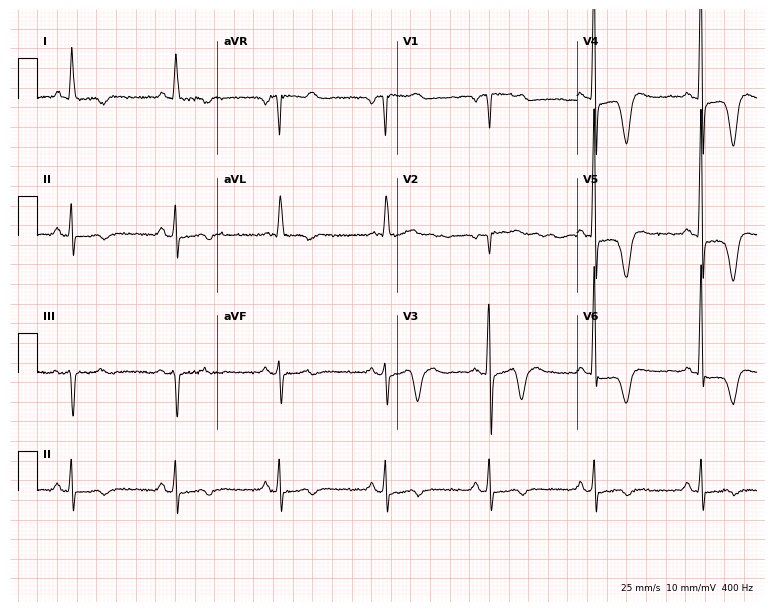
ECG (7.3-second recording at 400 Hz) — a man, 66 years old. Screened for six findings — first-degree AV block, right bundle branch block, left bundle branch block, sinus bradycardia, atrial fibrillation, sinus tachycardia — none is recorded.